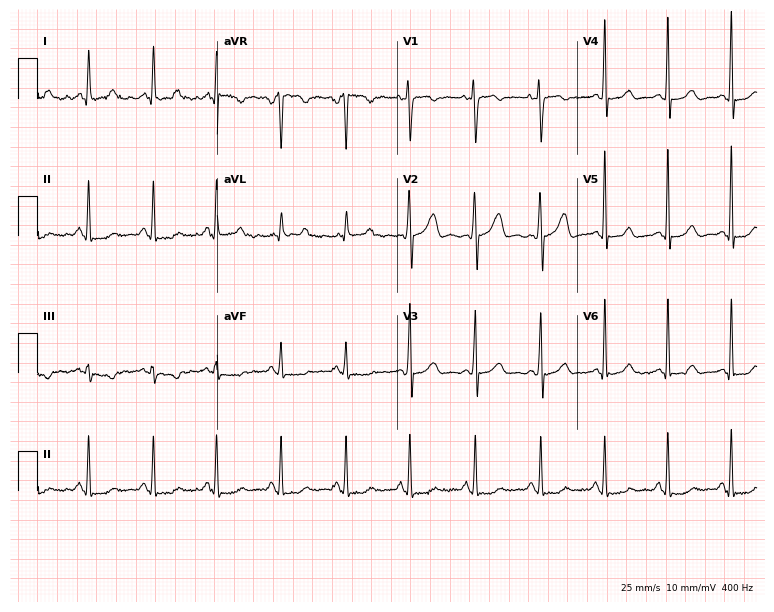
Standard 12-lead ECG recorded from a female patient, 31 years old (7.3-second recording at 400 Hz). None of these six findings is recorded: first-degree AV block, right bundle branch block, left bundle branch block, sinus bradycardia, atrial fibrillation, sinus tachycardia.